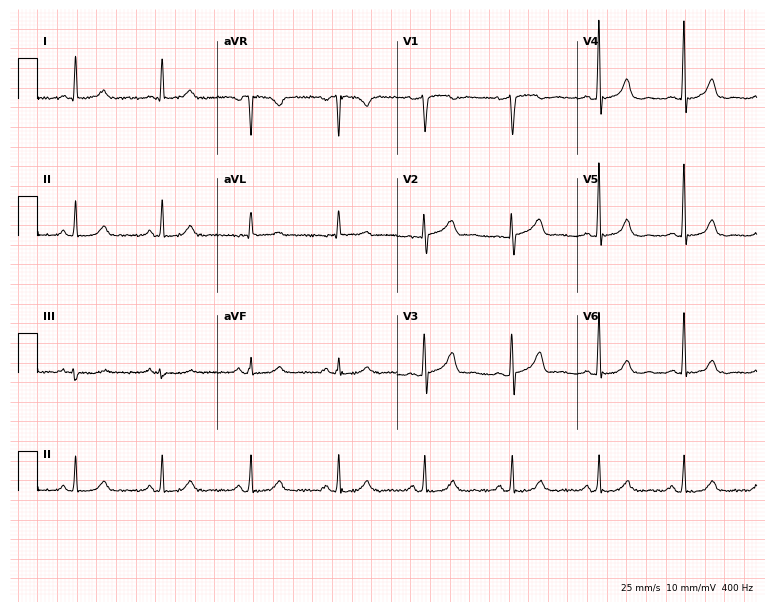
12-lead ECG from a female, 56 years old. Labelled as a normal ECG.